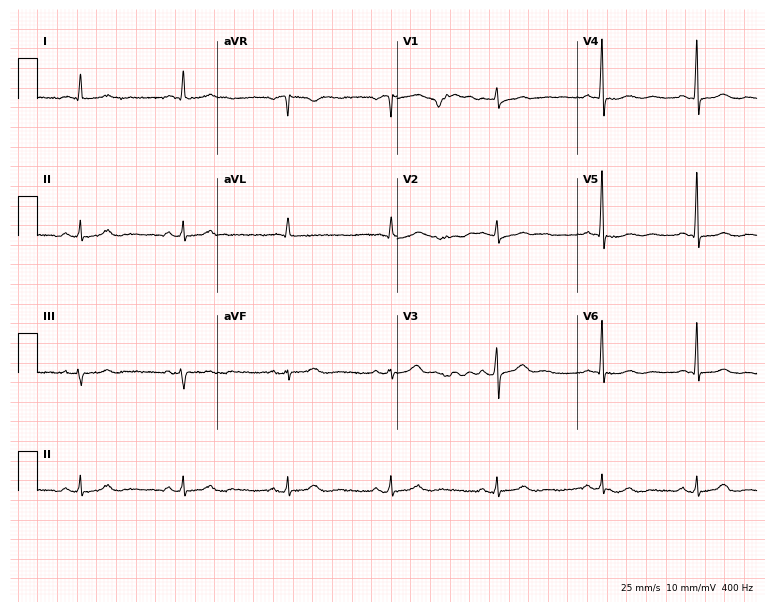
12-lead ECG from a male, 60 years old. Recorded interpretation: within normal limits.